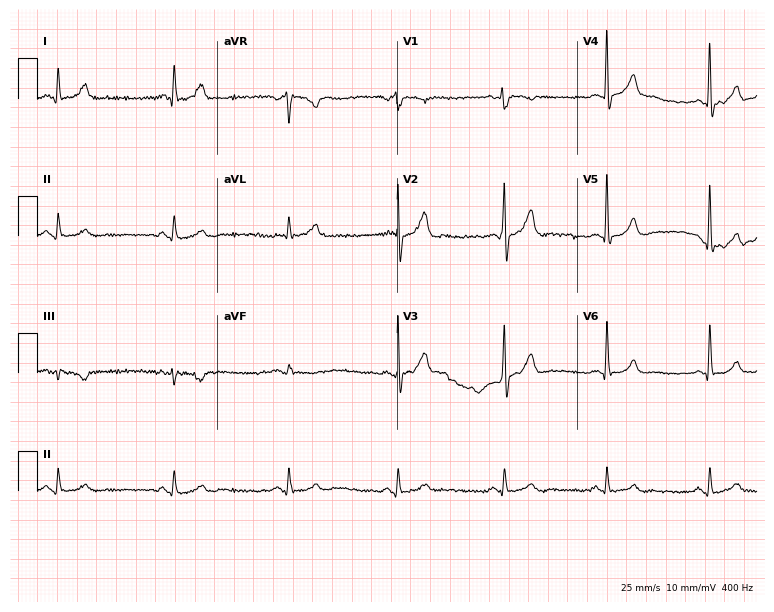
Standard 12-lead ECG recorded from a male patient, 51 years old. Read as a normal ECG.